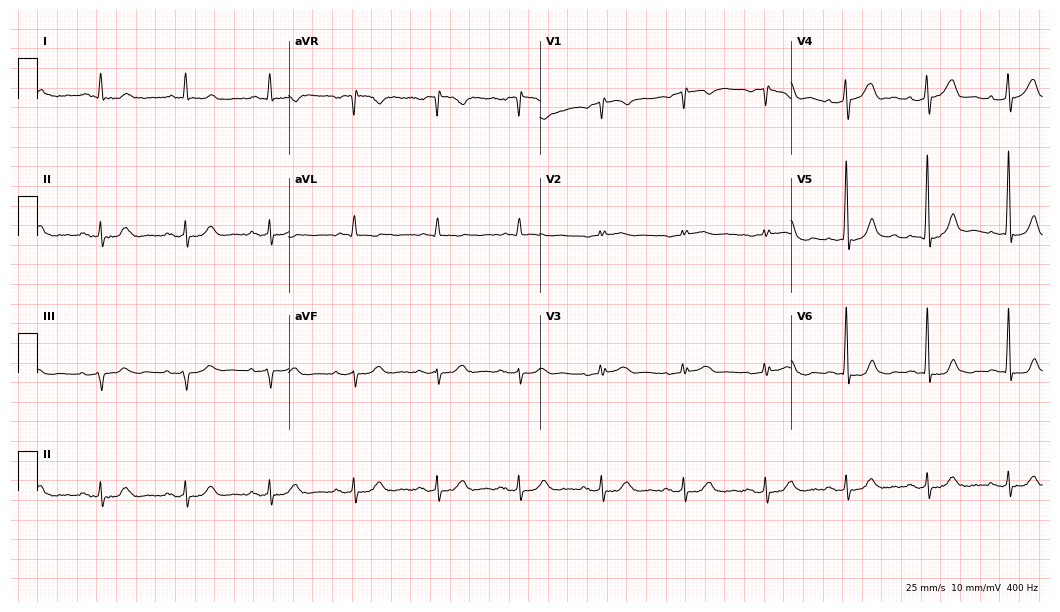
12-lead ECG from a 77-year-old male patient. Recorded interpretation: within normal limits.